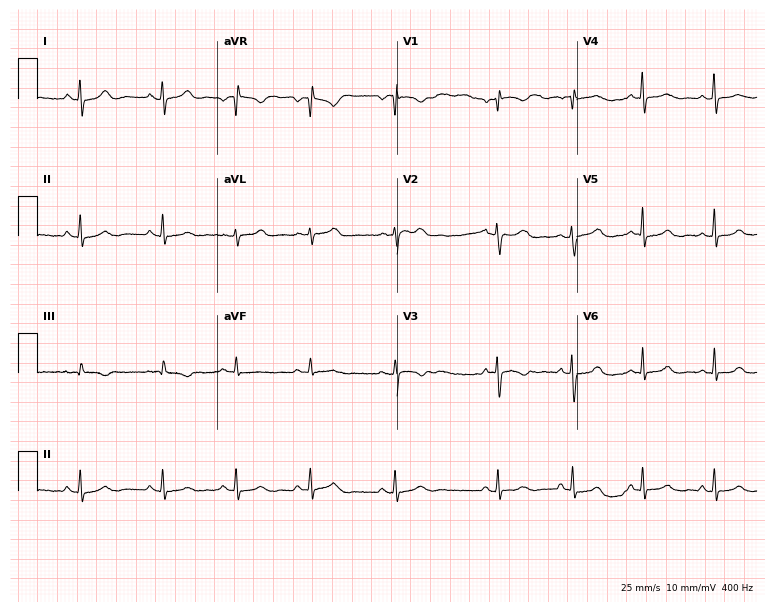
12-lead ECG from a female, 18 years old (7.3-second recording at 400 Hz). Recorded interpretation: within normal limits.